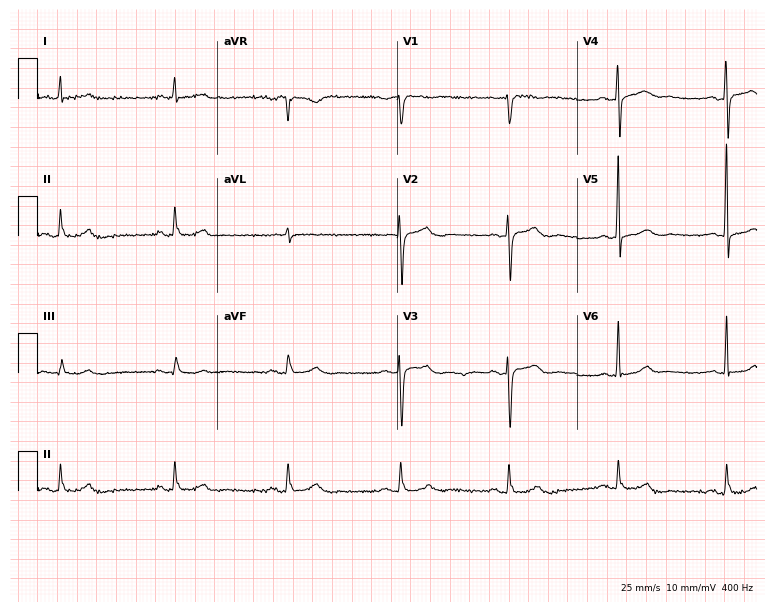
12-lead ECG from a 53-year-old male patient. Recorded interpretation: within normal limits.